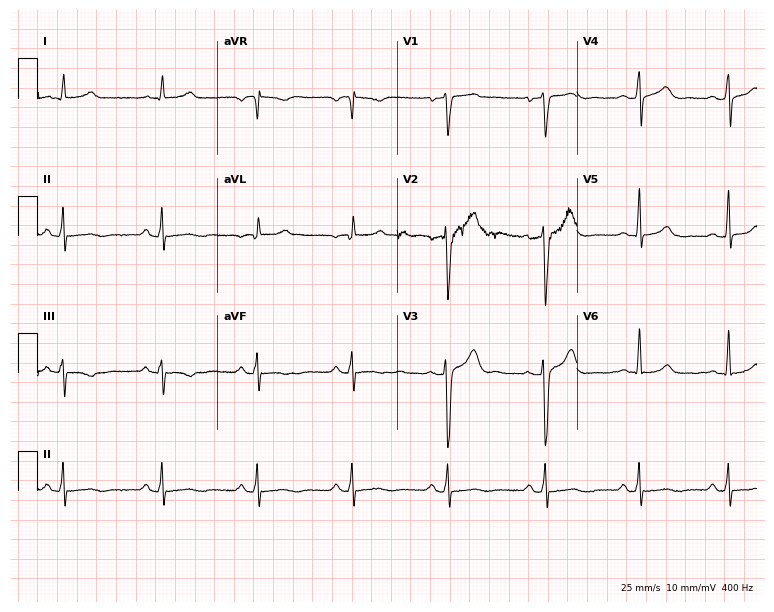
12-lead ECG from a 45-year-old man (7.3-second recording at 400 Hz). Recorded interpretation: within normal limits.